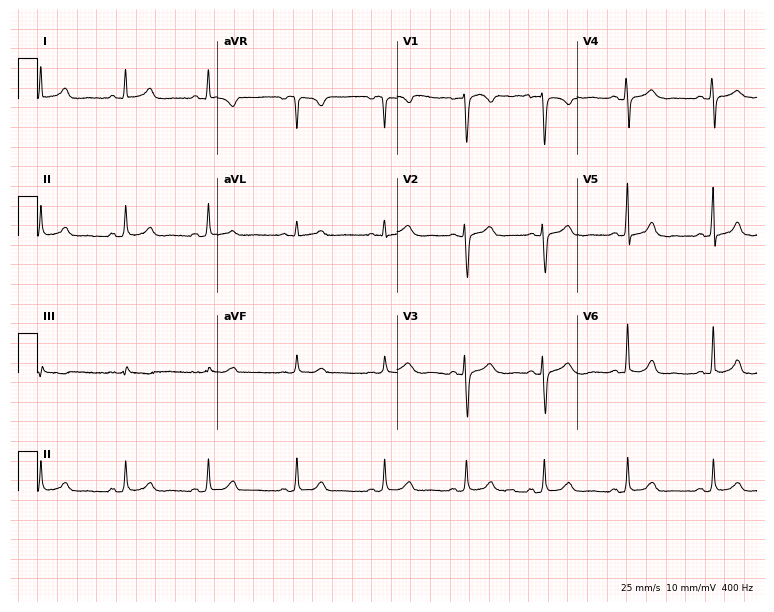
Resting 12-lead electrocardiogram (7.3-second recording at 400 Hz). Patient: a 38-year-old woman. None of these six findings is recorded: first-degree AV block, right bundle branch block, left bundle branch block, sinus bradycardia, atrial fibrillation, sinus tachycardia.